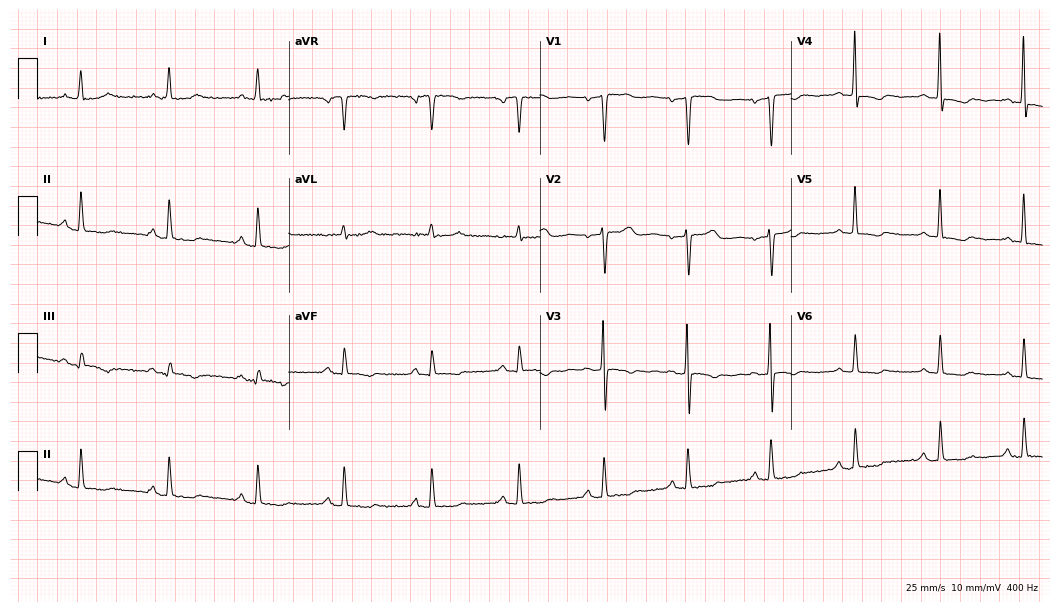
ECG (10.2-second recording at 400 Hz) — a 71-year-old woman. Screened for six findings — first-degree AV block, right bundle branch block, left bundle branch block, sinus bradycardia, atrial fibrillation, sinus tachycardia — none is recorded. Findings outside these six are not listed.